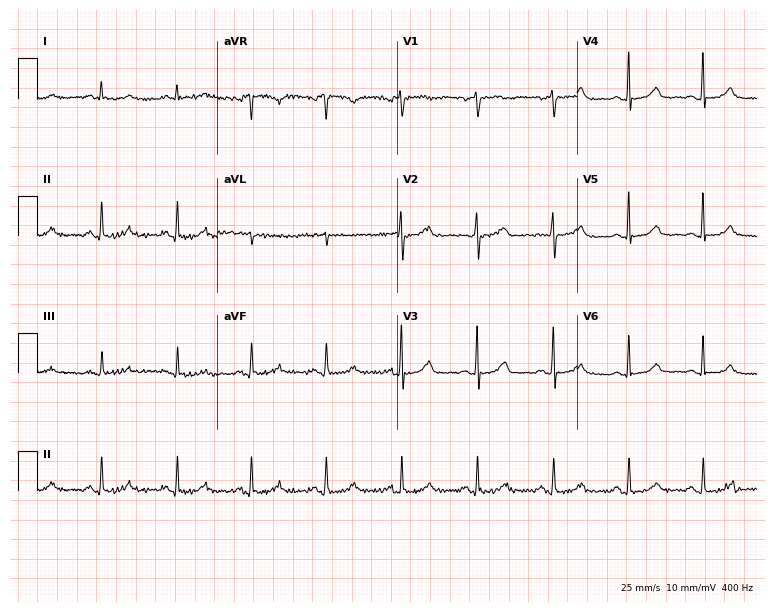
12-lead ECG from a woman, 46 years old. Labelled as a normal ECG.